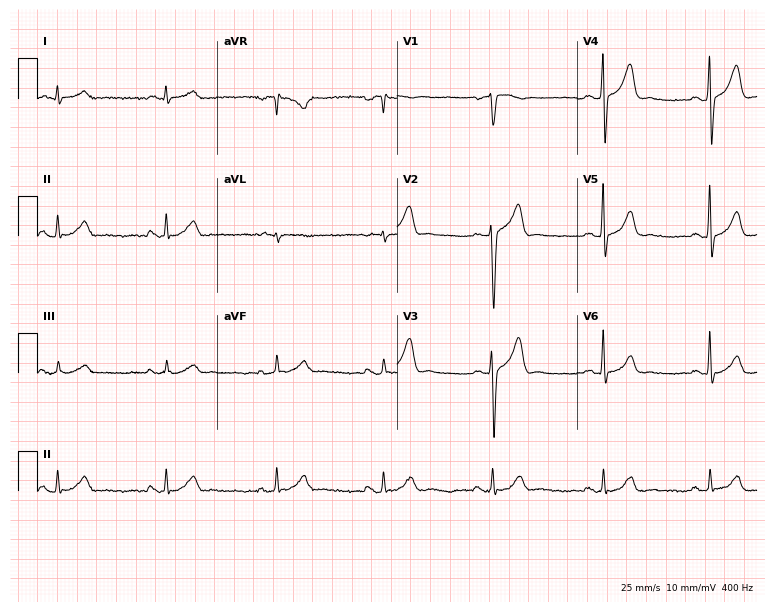
ECG (7.3-second recording at 400 Hz) — a male, 43 years old. Labelled as a normal ECG.